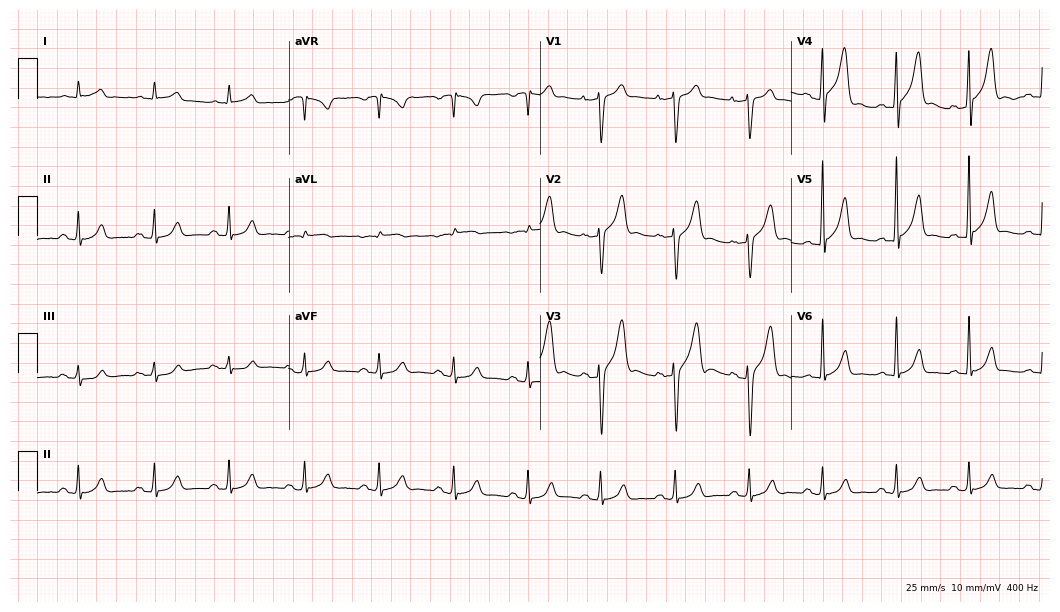
Electrocardiogram (10.2-second recording at 400 Hz), a male patient, 78 years old. Of the six screened findings (first-degree AV block, right bundle branch block, left bundle branch block, sinus bradycardia, atrial fibrillation, sinus tachycardia), none is recorded. Only these six findings were labelled.